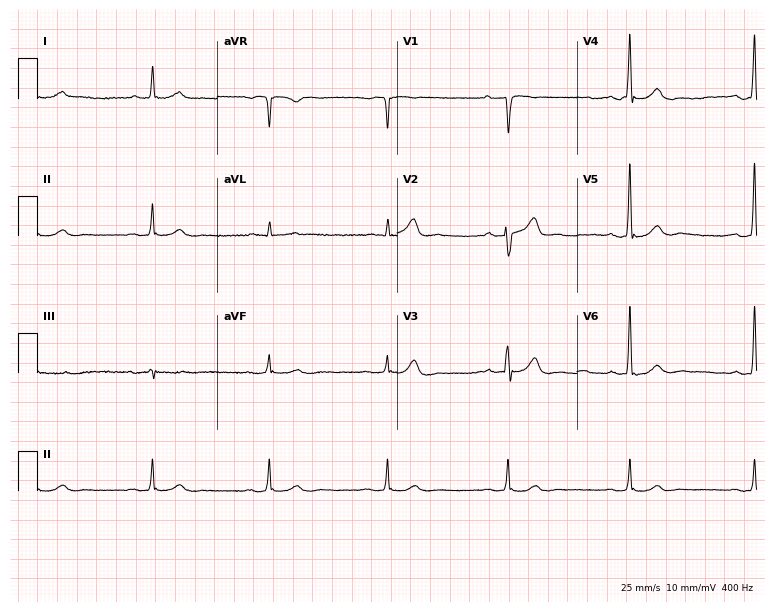
12-lead ECG from a 74-year-old male (7.3-second recording at 400 Hz). Shows sinus bradycardia (a sinus rate of 50 beats per minute or less).